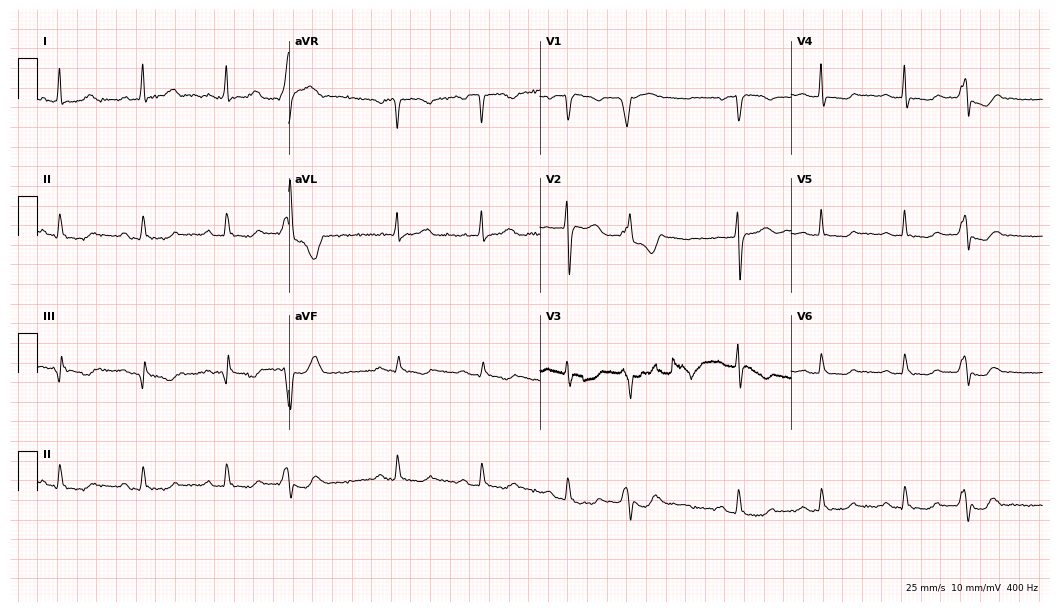
12-lead ECG from a female patient, 60 years old. No first-degree AV block, right bundle branch block (RBBB), left bundle branch block (LBBB), sinus bradycardia, atrial fibrillation (AF) or sinus tachycardia recorded for this tracing.